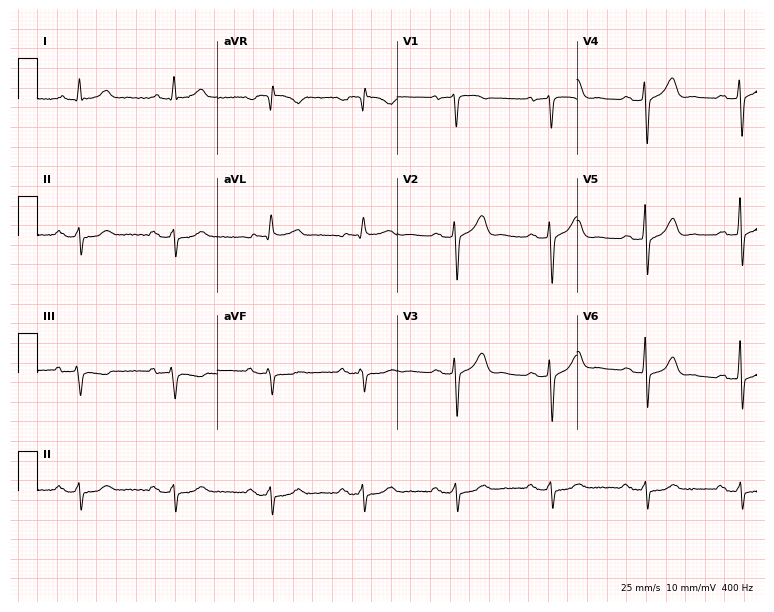
12-lead ECG from a male patient, 71 years old (7.3-second recording at 400 Hz). No first-degree AV block, right bundle branch block (RBBB), left bundle branch block (LBBB), sinus bradycardia, atrial fibrillation (AF) or sinus tachycardia recorded for this tracing. Other findings, if any, are not listed.